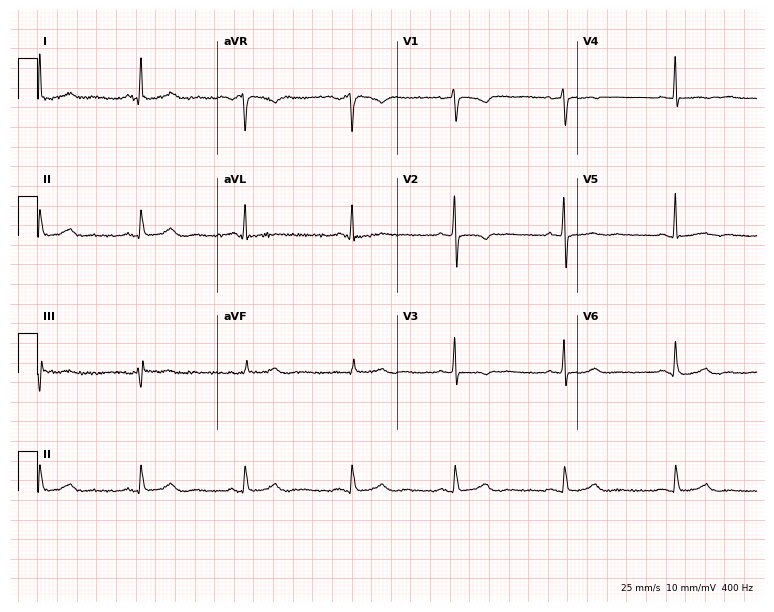
12-lead ECG from a 55-year-old female. Screened for six findings — first-degree AV block, right bundle branch block, left bundle branch block, sinus bradycardia, atrial fibrillation, sinus tachycardia — none is recorded.